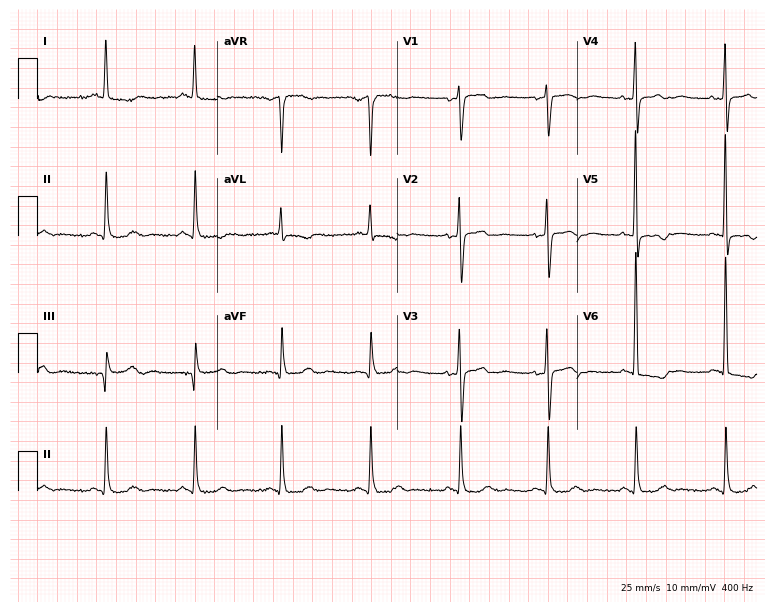
Standard 12-lead ECG recorded from a woman, 80 years old. None of these six findings is recorded: first-degree AV block, right bundle branch block (RBBB), left bundle branch block (LBBB), sinus bradycardia, atrial fibrillation (AF), sinus tachycardia. Findings outside these six are not listed.